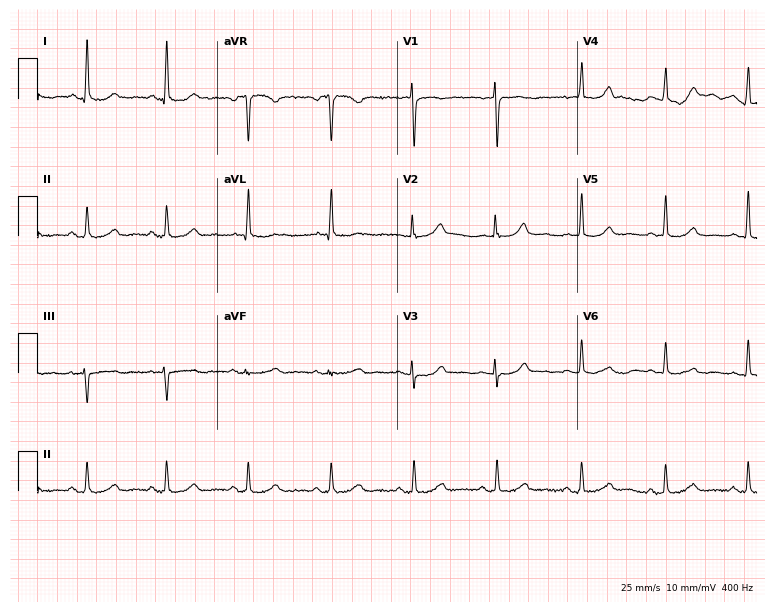
Electrocardiogram, a female, 66 years old. Of the six screened findings (first-degree AV block, right bundle branch block (RBBB), left bundle branch block (LBBB), sinus bradycardia, atrial fibrillation (AF), sinus tachycardia), none is recorded. Findings outside these six are not listed.